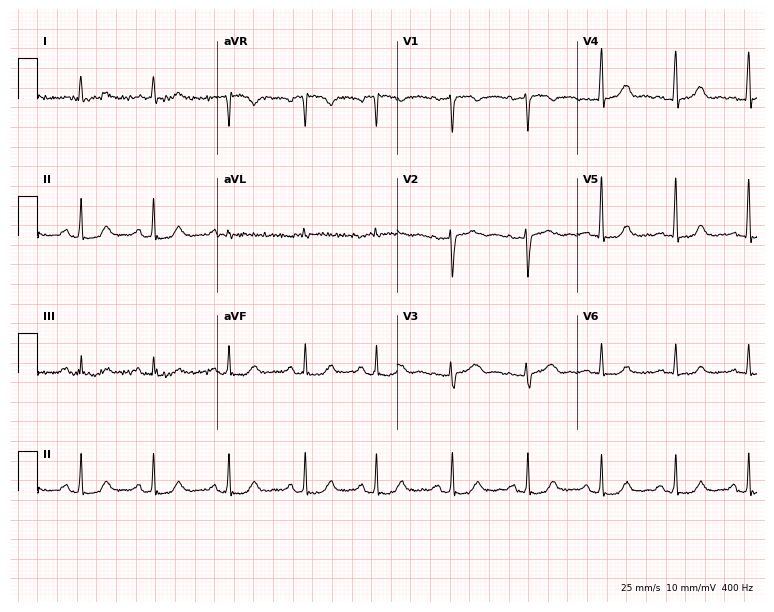
ECG — a man, 81 years old. Labelled as a normal ECG.